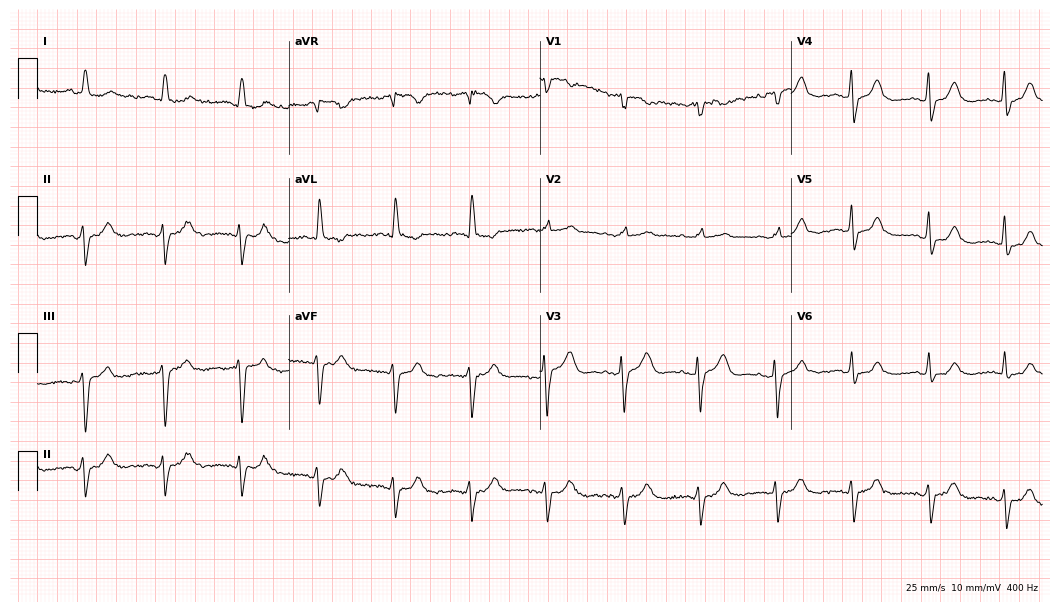
12-lead ECG from an 82-year-old female. Screened for six findings — first-degree AV block, right bundle branch block, left bundle branch block, sinus bradycardia, atrial fibrillation, sinus tachycardia — none is recorded. Other findings, if any, are not listed.